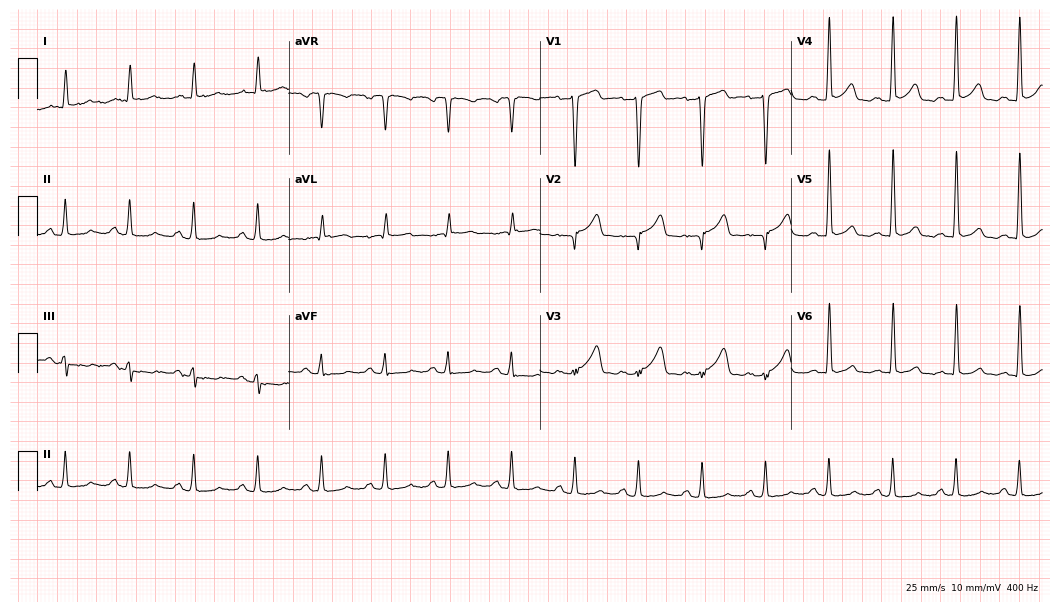
Electrocardiogram, a male, 78 years old. Of the six screened findings (first-degree AV block, right bundle branch block (RBBB), left bundle branch block (LBBB), sinus bradycardia, atrial fibrillation (AF), sinus tachycardia), none is recorded.